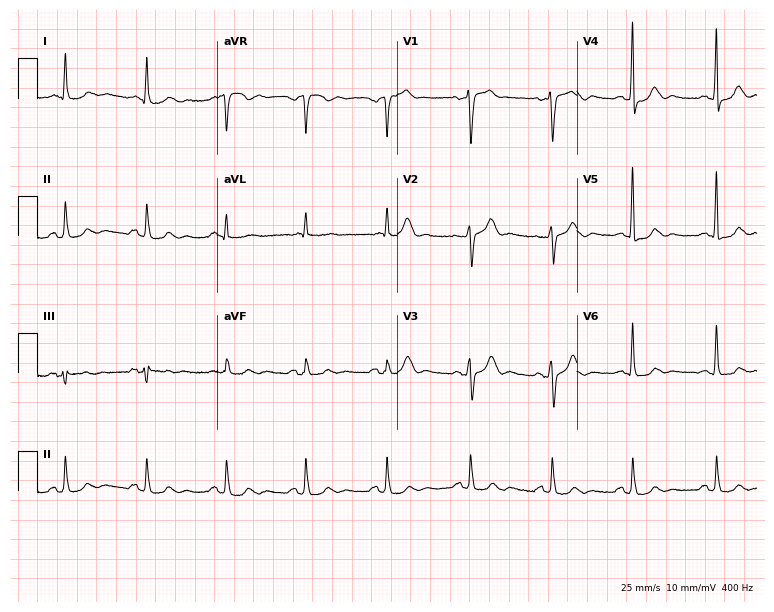
Resting 12-lead electrocardiogram. Patient: a 60-year-old female. Read as a normal ECG.